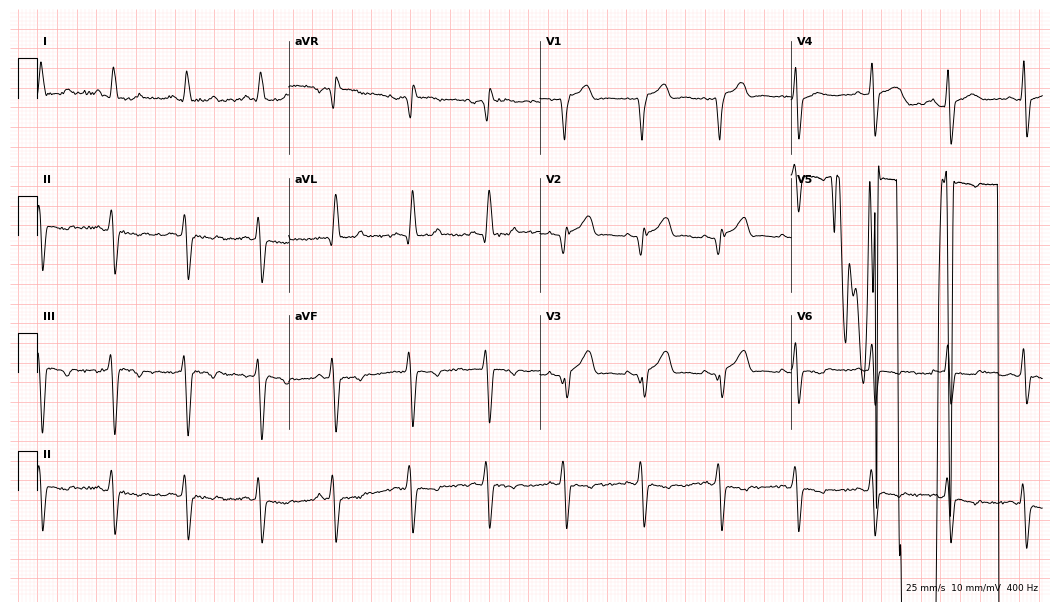
Resting 12-lead electrocardiogram (10.2-second recording at 400 Hz). Patient: a man, 66 years old. None of these six findings is recorded: first-degree AV block, right bundle branch block, left bundle branch block, sinus bradycardia, atrial fibrillation, sinus tachycardia. Other findings, if any, are not listed.